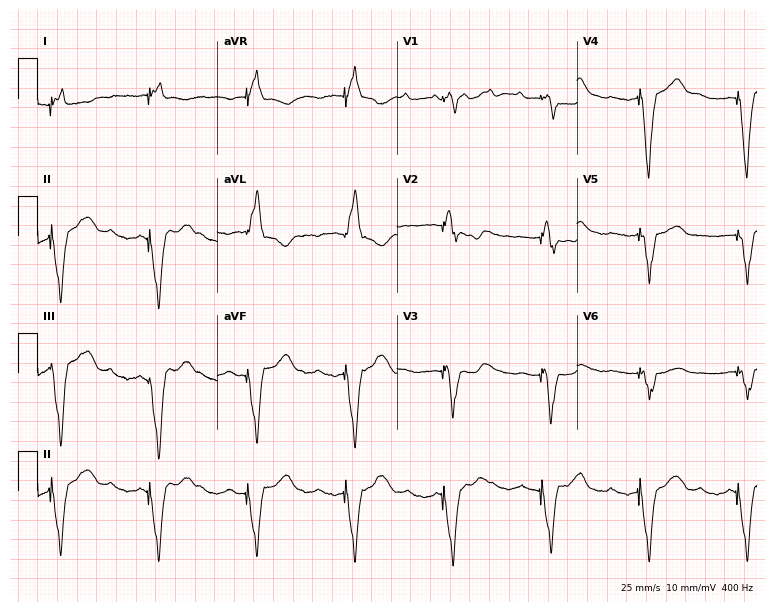
12-lead ECG from a 59-year-old woman. Screened for six findings — first-degree AV block, right bundle branch block (RBBB), left bundle branch block (LBBB), sinus bradycardia, atrial fibrillation (AF), sinus tachycardia — none is recorded.